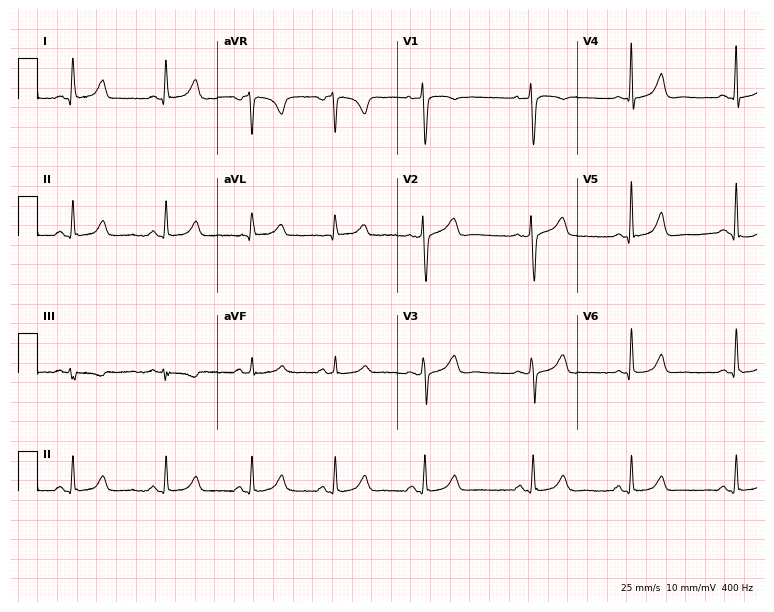
Electrocardiogram (7.3-second recording at 400 Hz), a woman, 47 years old. Overall reading on record: normal ECG.